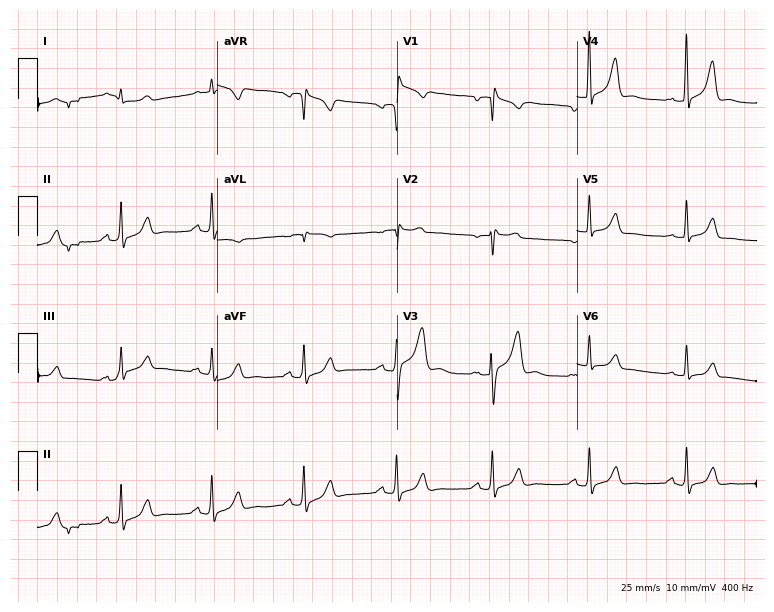
ECG — a 53-year-old male. Screened for six findings — first-degree AV block, right bundle branch block (RBBB), left bundle branch block (LBBB), sinus bradycardia, atrial fibrillation (AF), sinus tachycardia — none is recorded. Only these six findings were labelled.